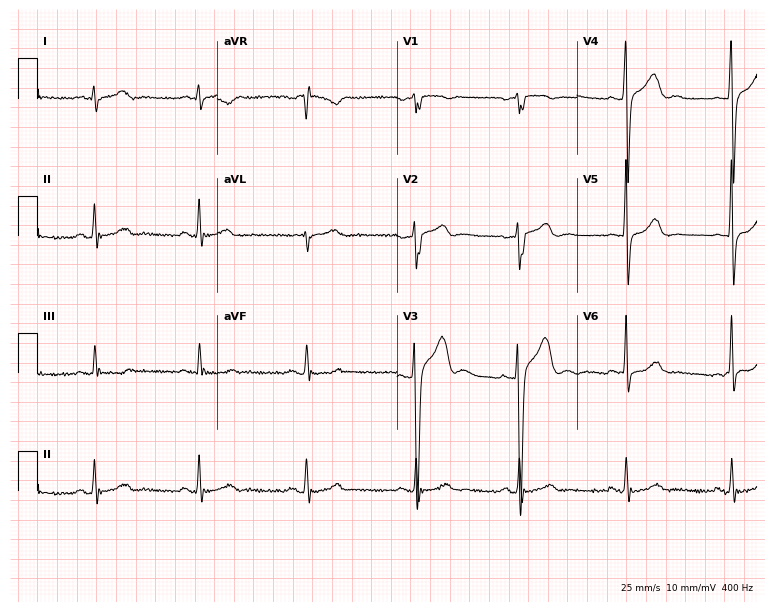
Resting 12-lead electrocardiogram. Patient: a 22-year-old male. None of these six findings is recorded: first-degree AV block, right bundle branch block, left bundle branch block, sinus bradycardia, atrial fibrillation, sinus tachycardia. Findings outside these six are not listed.